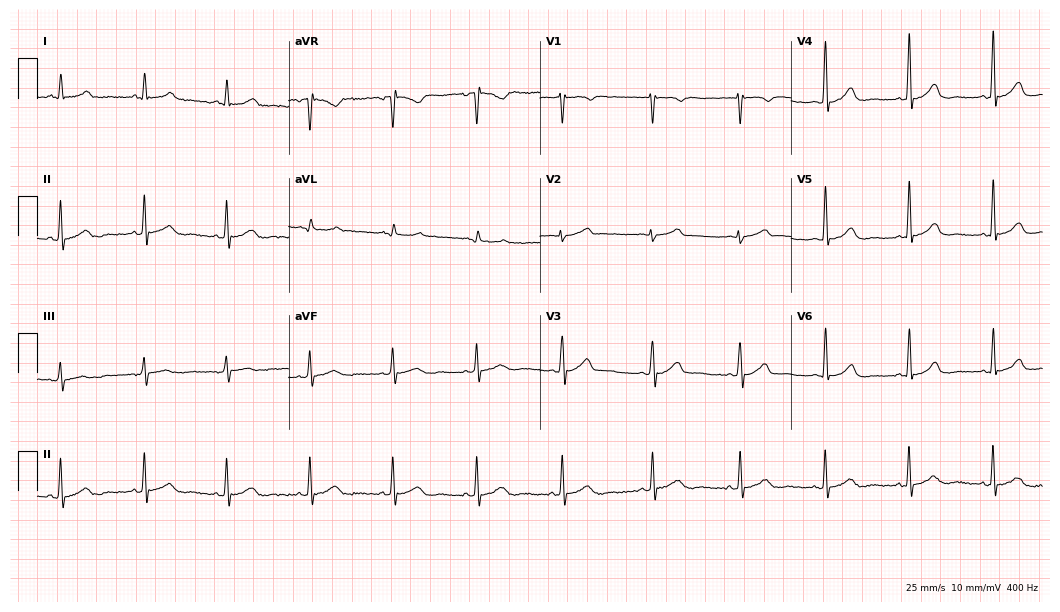
12-lead ECG from a 47-year-old woman (10.2-second recording at 400 Hz). No first-degree AV block, right bundle branch block, left bundle branch block, sinus bradycardia, atrial fibrillation or sinus tachycardia recorded for this tracing. Only these six findings were labelled.